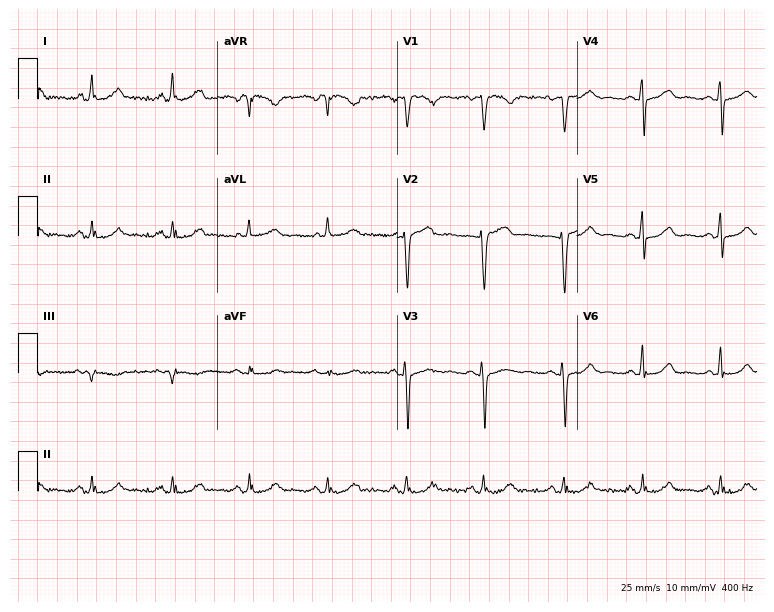
Standard 12-lead ECG recorded from a 35-year-old female. None of these six findings is recorded: first-degree AV block, right bundle branch block (RBBB), left bundle branch block (LBBB), sinus bradycardia, atrial fibrillation (AF), sinus tachycardia.